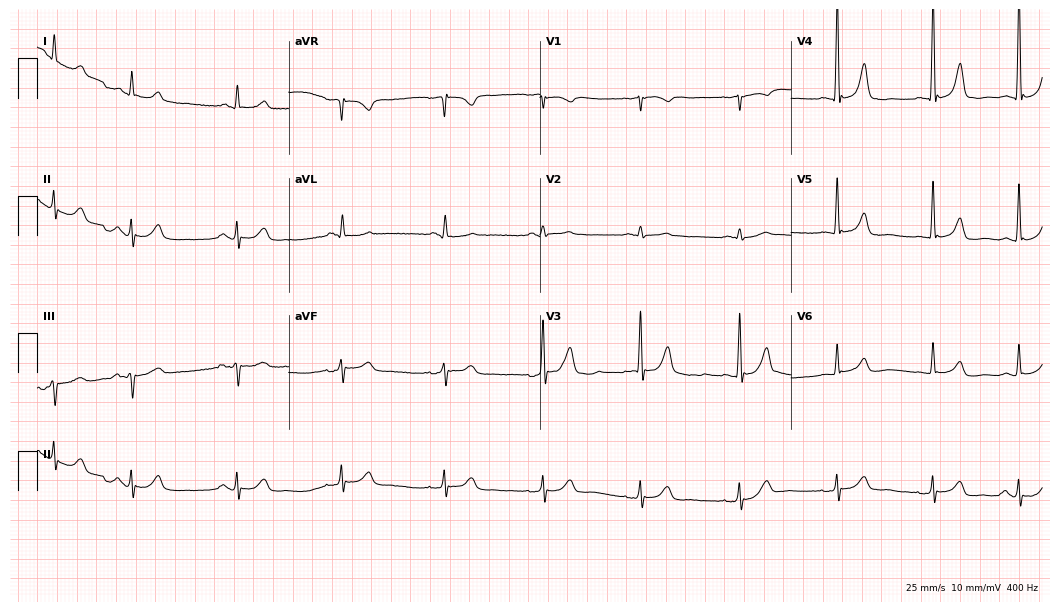
Electrocardiogram (10.2-second recording at 400 Hz), an 83-year-old male. Of the six screened findings (first-degree AV block, right bundle branch block, left bundle branch block, sinus bradycardia, atrial fibrillation, sinus tachycardia), none is recorded.